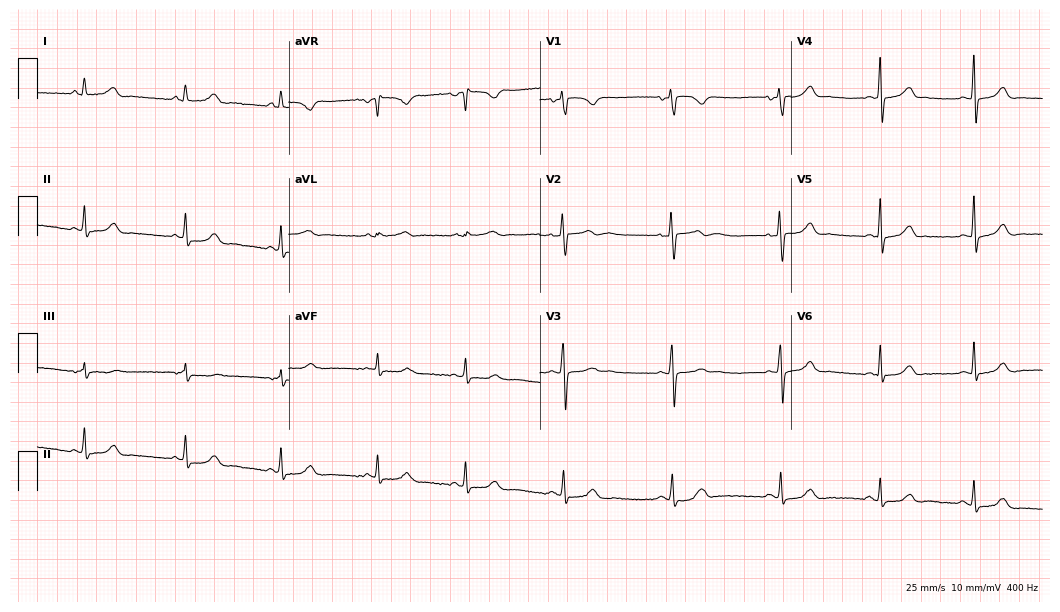
Standard 12-lead ECG recorded from a 31-year-old woman (10.2-second recording at 400 Hz). Read as a normal ECG.